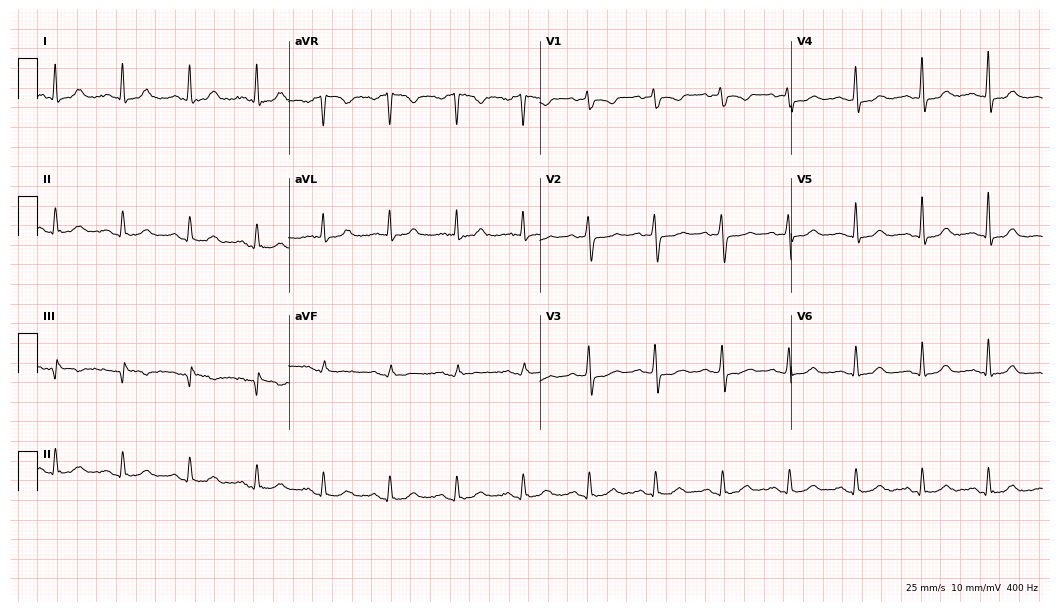
ECG (10.2-second recording at 400 Hz) — a 59-year-old woman. Labelled as a normal ECG.